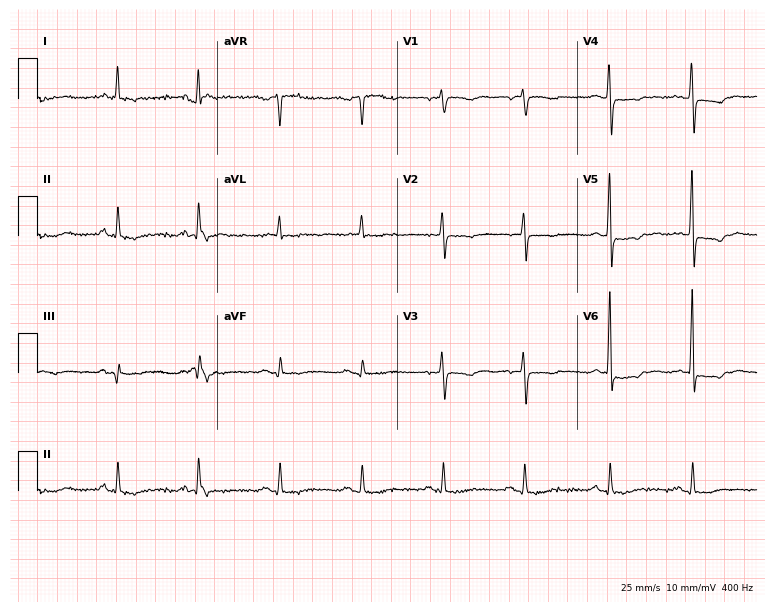
12-lead ECG from an 84-year-old female. Screened for six findings — first-degree AV block, right bundle branch block, left bundle branch block, sinus bradycardia, atrial fibrillation, sinus tachycardia — none is recorded.